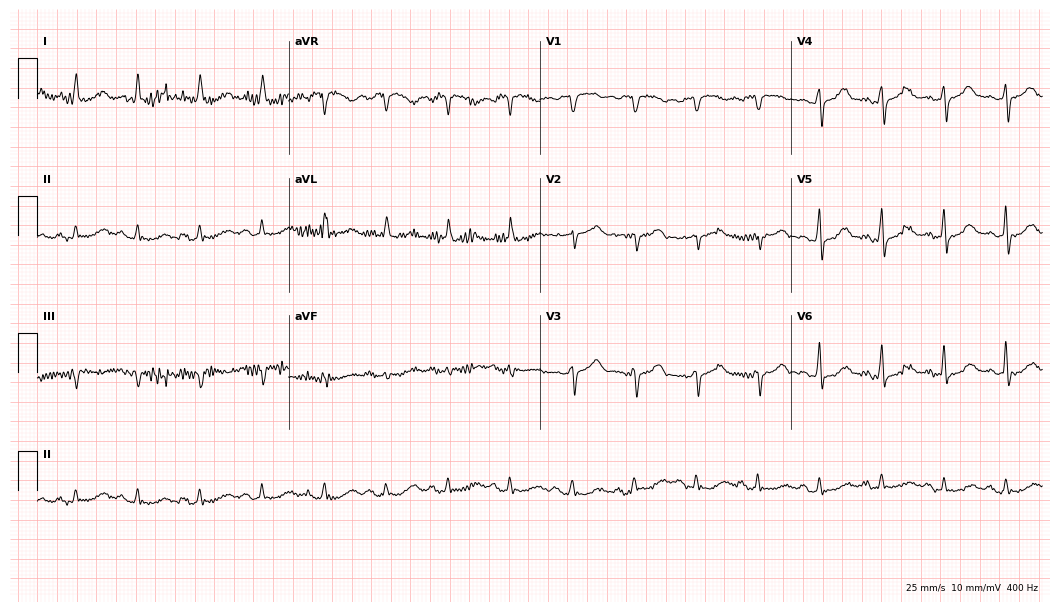
12-lead ECG from a 63-year-old female. No first-degree AV block, right bundle branch block (RBBB), left bundle branch block (LBBB), sinus bradycardia, atrial fibrillation (AF) or sinus tachycardia recorded for this tracing. Other findings, if any, are not listed.